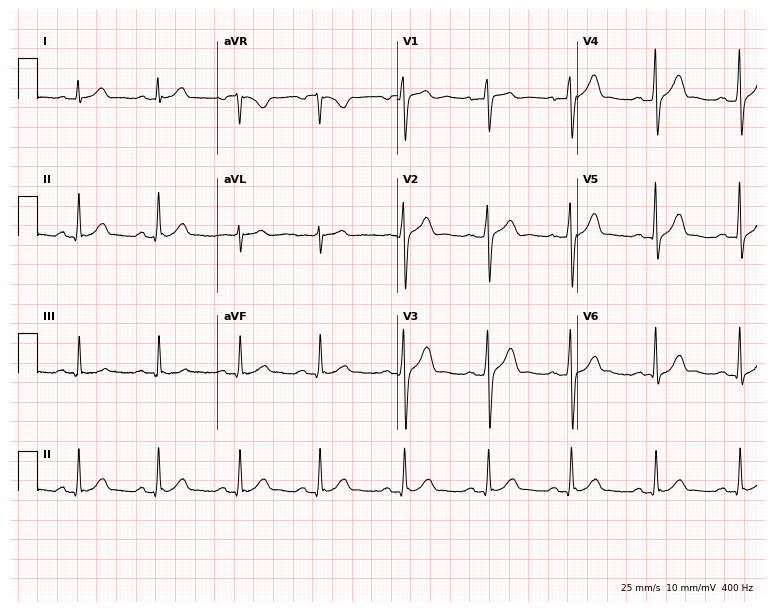
ECG (7.3-second recording at 400 Hz) — a male patient, 37 years old. Labelled as a normal ECG.